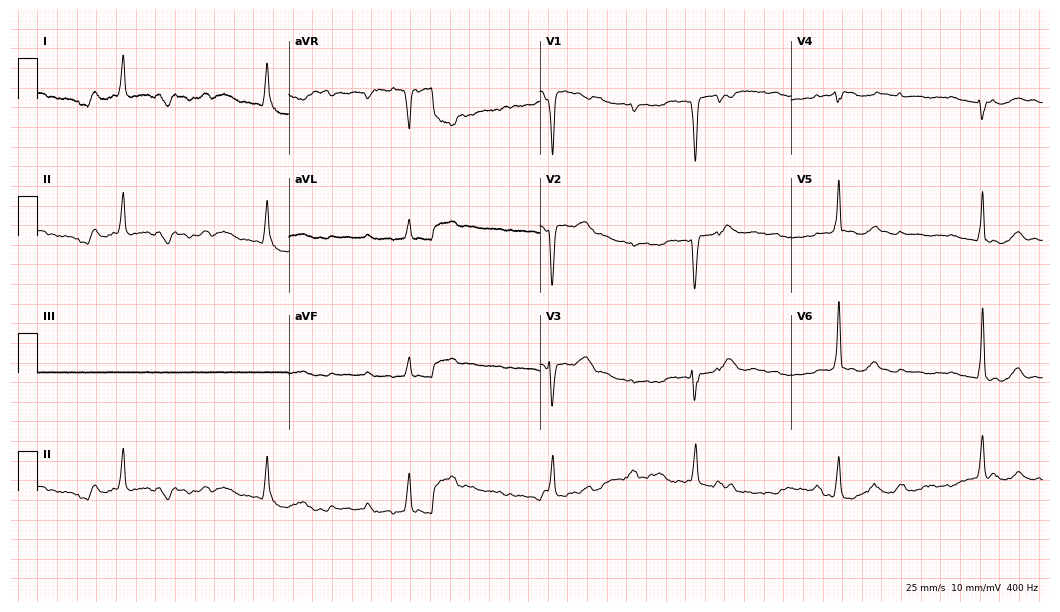
12-lead ECG from a female, 77 years old (10.2-second recording at 400 Hz). No first-degree AV block, right bundle branch block, left bundle branch block, sinus bradycardia, atrial fibrillation or sinus tachycardia recorded for this tracing.